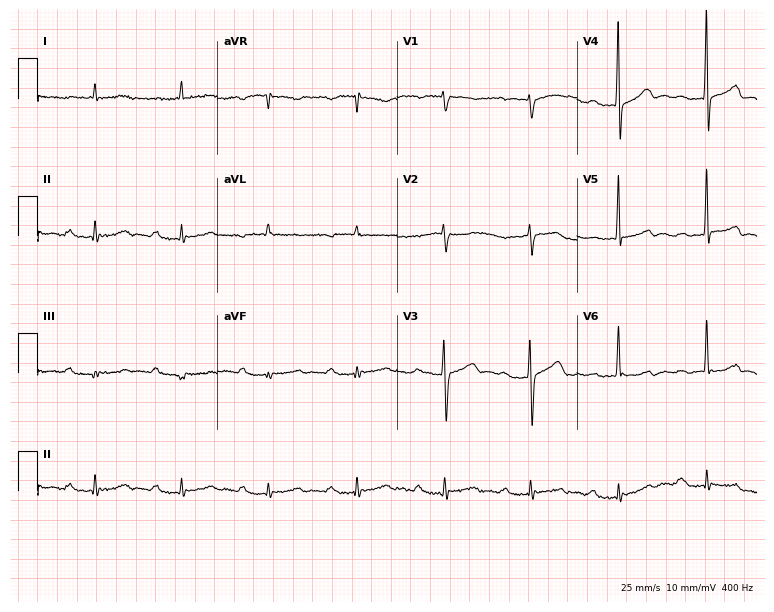
12-lead ECG from a male patient, 78 years old. Findings include first-degree AV block.